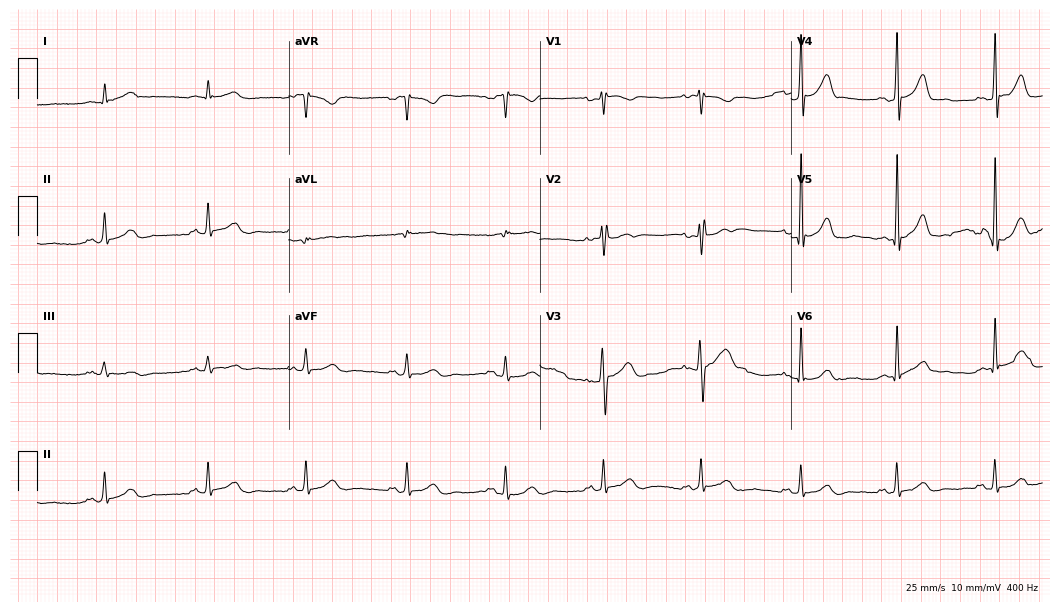
Electrocardiogram, a male patient, 64 years old. Overall reading on record: normal ECG.